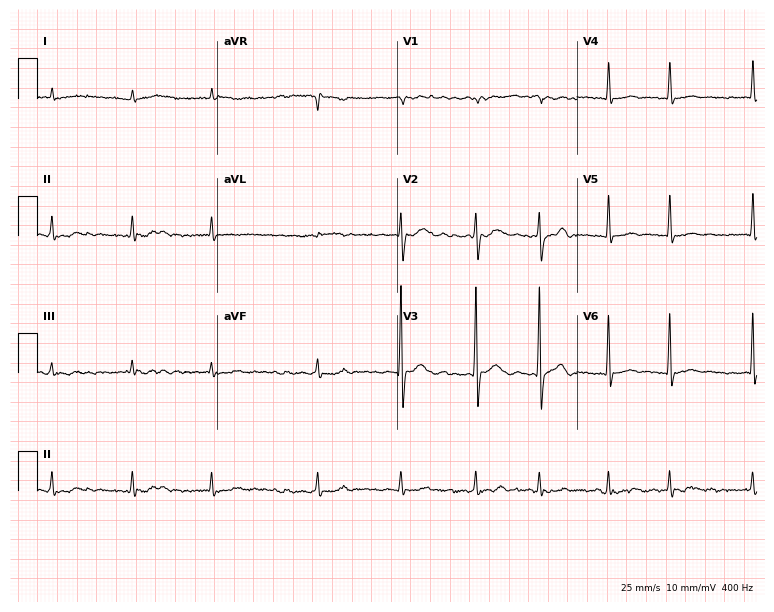
Resting 12-lead electrocardiogram (7.3-second recording at 400 Hz). Patient: an 81-year-old male. The tracing shows atrial fibrillation.